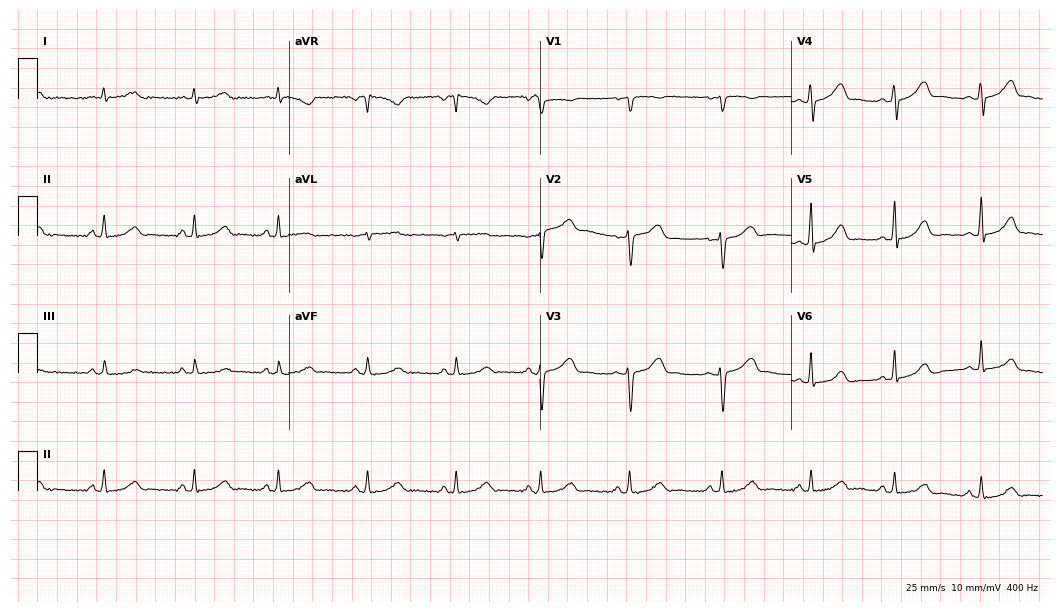
Resting 12-lead electrocardiogram (10.2-second recording at 400 Hz). Patient: a female, 43 years old. Read as a normal ECG.